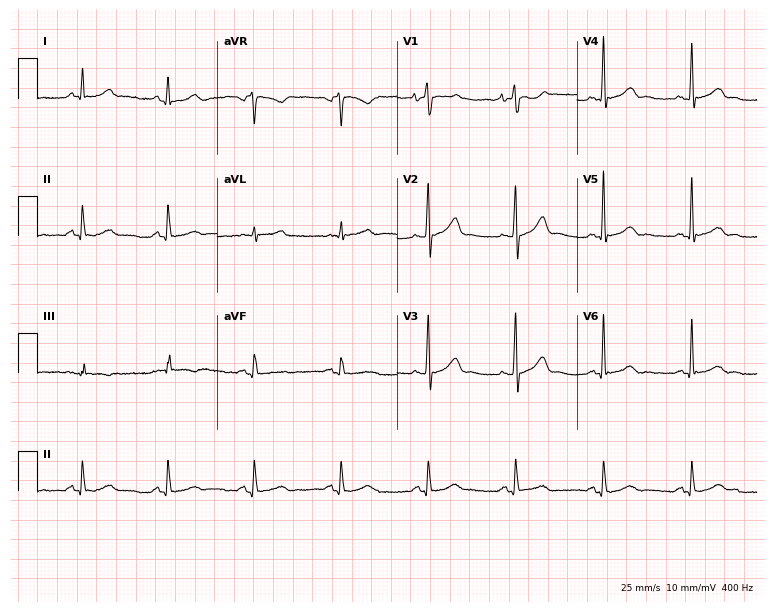
12-lead ECG from a 70-year-old male patient (7.3-second recording at 400 Hz). No first-degree AV block, right bundle branch block (RBBB), left bundle branch block (LBBB), sinus bradycardia, atrial fibrillation (AF) or sinus tachycardia recorded for this tracing.